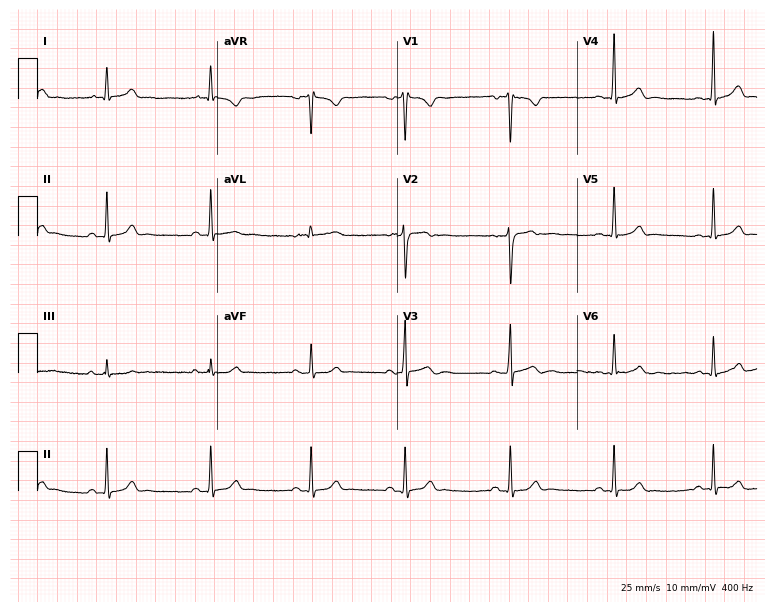
12-lead ECG (7.3-second recording at 400 Hz) from a 20-year-old man. Labelled as a normal ECG.